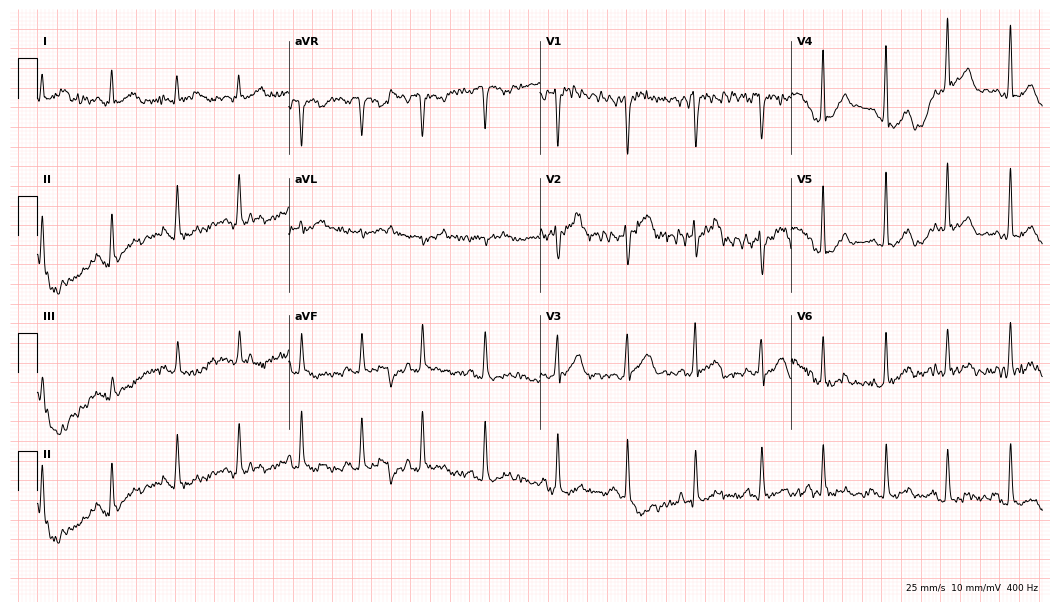
Resting 12-lead electrocardiogram (10.2-second recording at 400 Hz). Patient: a 37-year-old male. None of these six findings is recorded: first-degree AV block, right bundle branch block, left bundle branch block, sinus bradycardia, atrial fibrillation, sinus tachycardia.